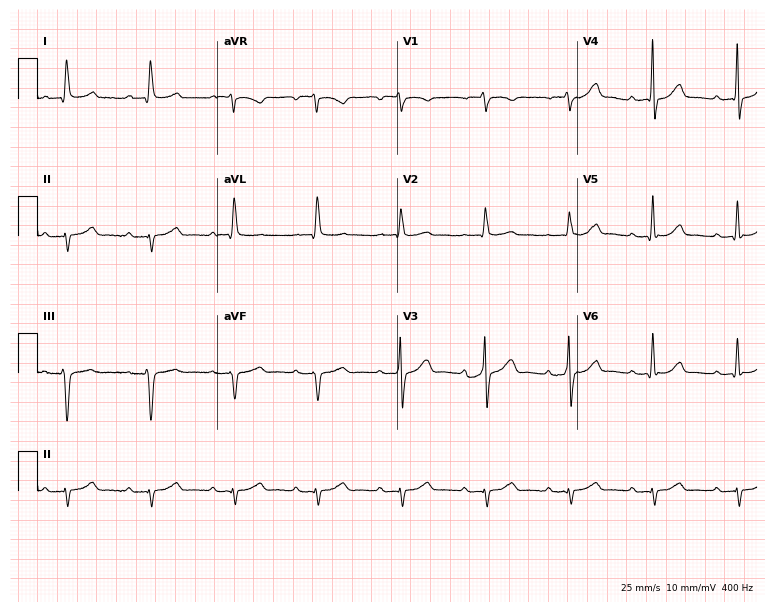
ECG (7.3-second recording at 400 Hz) — a male patient, 79 years old. Screened for six findings — first-degree AV block, right bundle branch block, left bundle branch block, sinus bradycardia, atrial fibrillation, sinus tachycardia — none is recorded. Only these six findings were labelled.